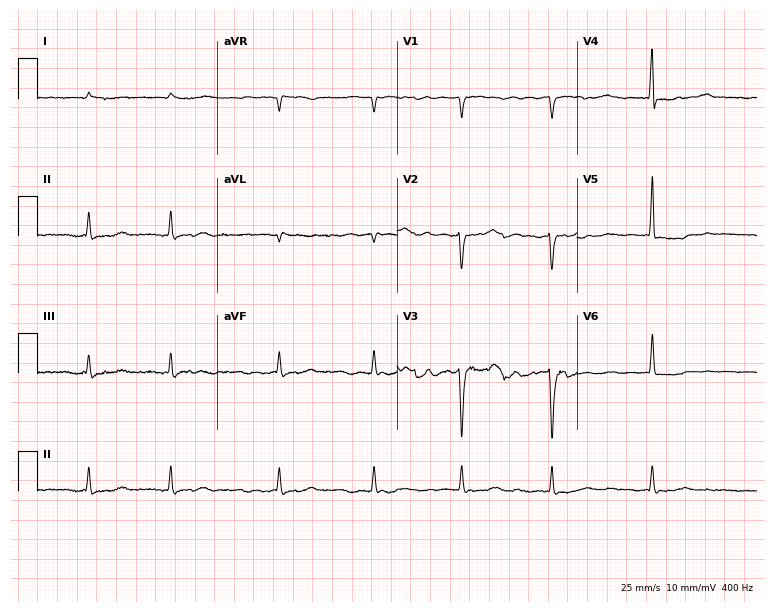
Resting 12-lead electrocardiogram. Patient: a female, 85 years old. None of these six findings is recorded: first-degree AV block, right bundle branch block, left bundle branch block, sinus bradycardia, atrial fibrillation, sinus tachycardia.